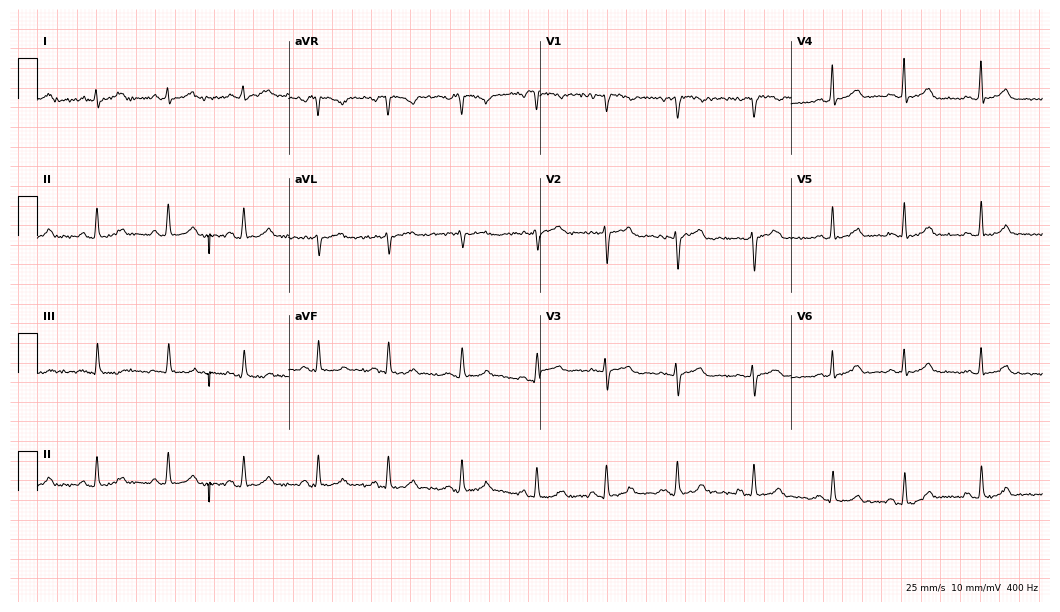
ECG (10.2-second recording at 400 Hz) — a female, 39 years old. Labelled as a normal ECG.